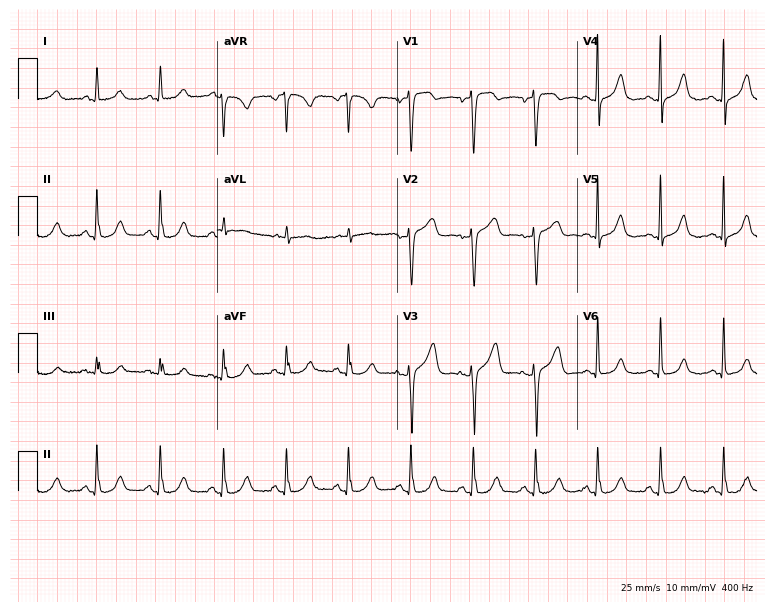
Electrocardiogram (7.3-second recording at 400 Hz), a 61-year-old female. Of the six screened findings (first-degree AV block, right bundle branch block, left bundle branch block, sinus bradycardia, atrial fibrillation, sinus tachycardia), none is recorded.